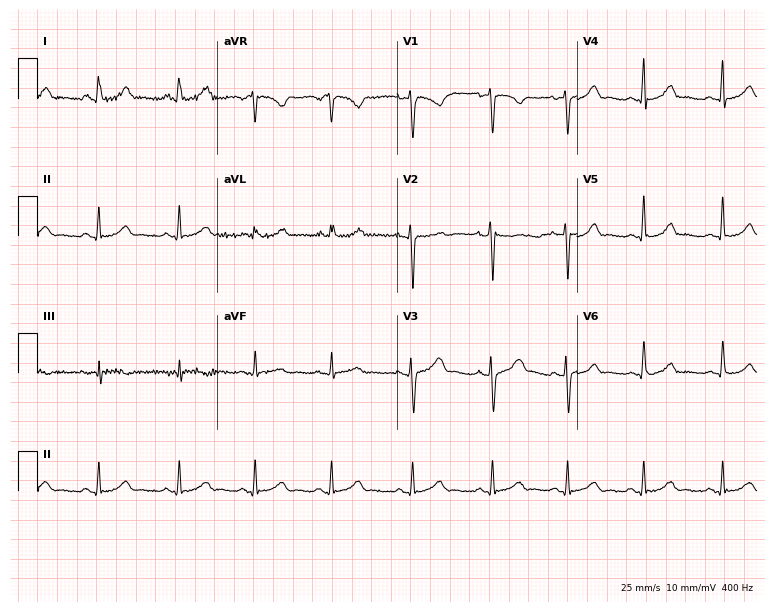
Standard 12-lead ECG recorded from a 29-year-old female patient. None of these six findings is recorded: first-degree AV block, right bundle branch block (RBBB), left bundle branch block (LBBB), sinus bradycardia, atrial fibrillation (AF), sinus tachycardia. Findings outside these six are not listed.